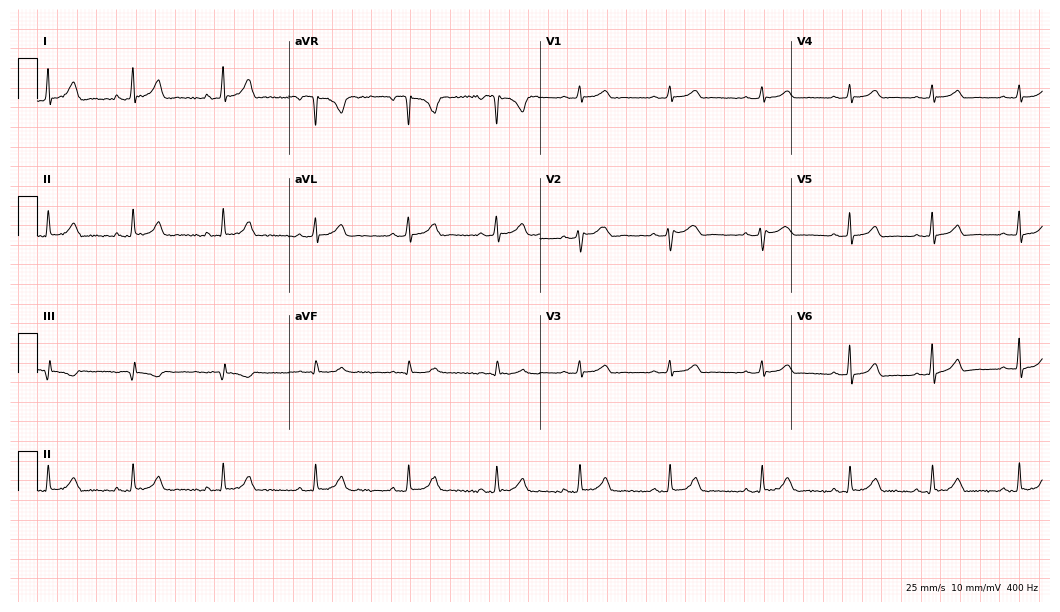
Standard 12-lead ECG recorded from a 42-year-old female. Read as a normal ECG.